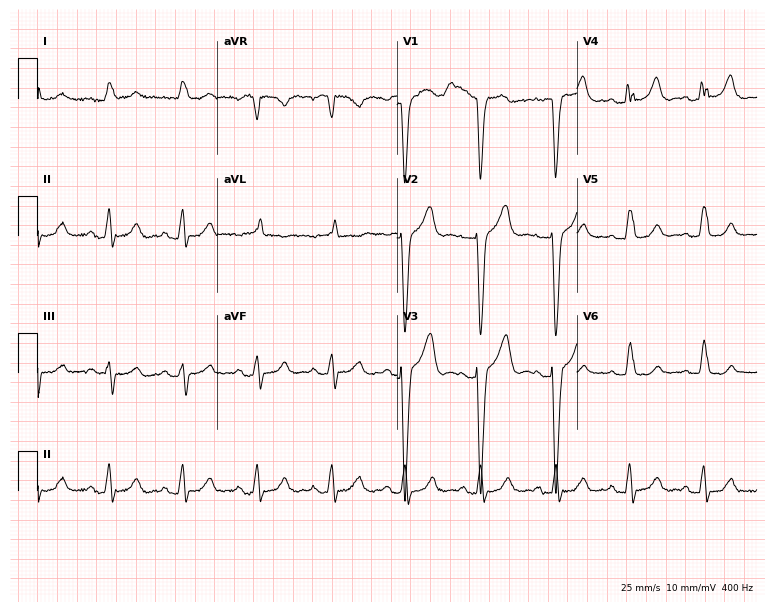
ECG (7.3-second recording at 400 Hz) — a female, 73 years old. Findings include left bundle branch block (LBBB).